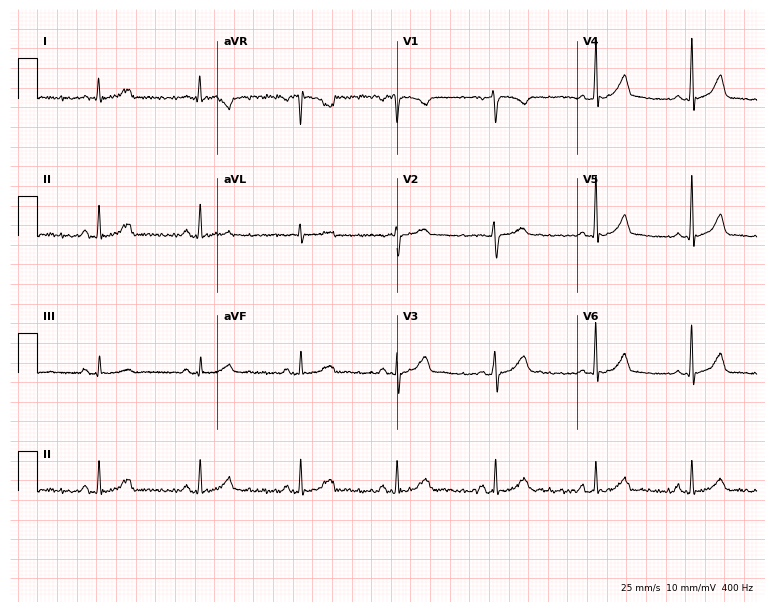
12-lead ECG from a 33-year-old woman (7.3-second recording at 400 Hz). Recorded interpretation: within normal limits.